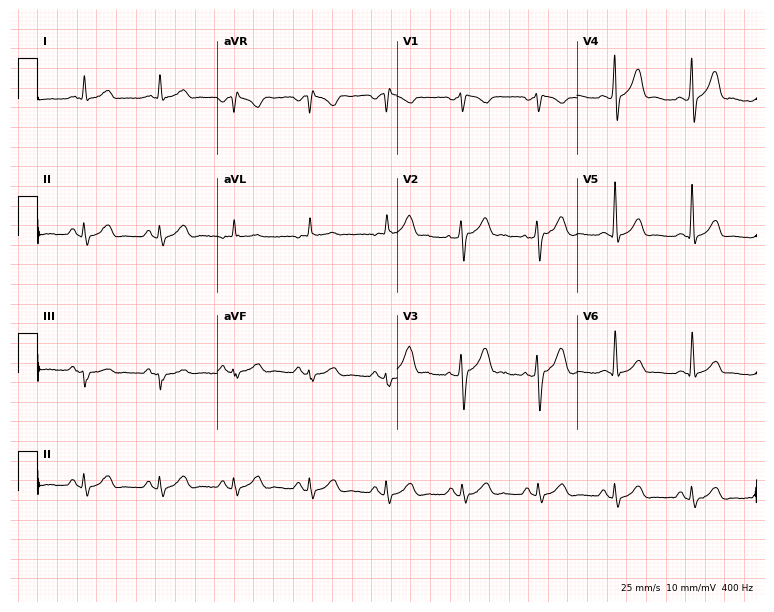
Standard 12-lead ECG recorded from a man, 55 years old (7.3-second recording at 400 Hz). None of these six findings is recorded: first-degree AV block, right bundle branch block (RBBB), left bundle branch block (LBBB), sinus bradycardia, atrial fibrillation (AF), sinus tachycardia. Only these six findings were labelled.